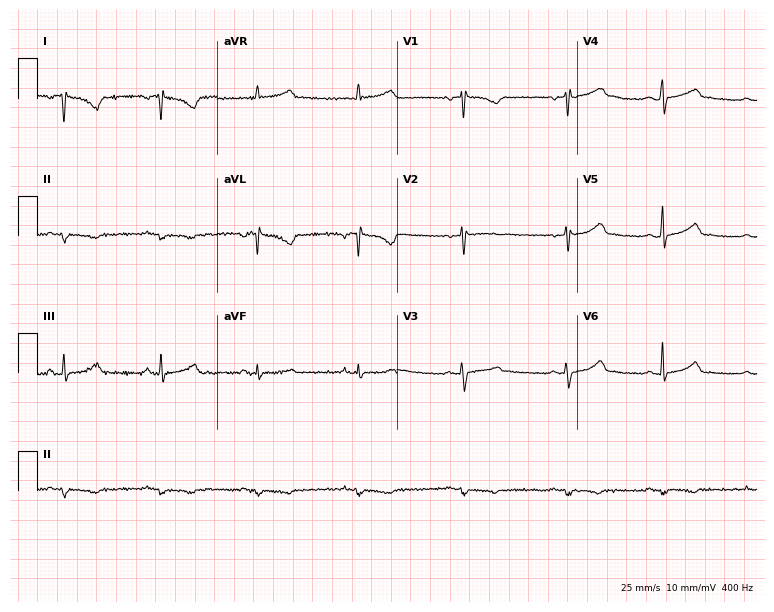
ECG (7.3-second recording at 400 Hz) — a female, 26 years old. Screened for six findings — first-degree AV block, right bundle branch block, left bundle branch block, sinus bradycardia, atrial fibrillation, sinus tachycardia — none is recorded. Findings outside these six are not listed.